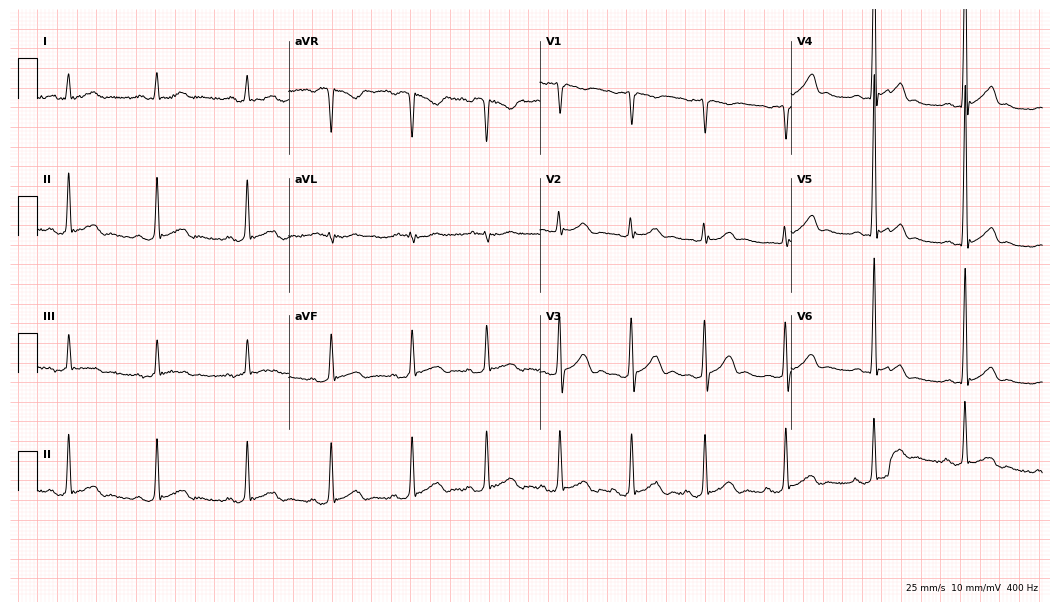
Resting 12-lead electrocardiogram (10.2-second recording at 400 Hz). Patient: a 26-year-old man. Read as a normal ECG.